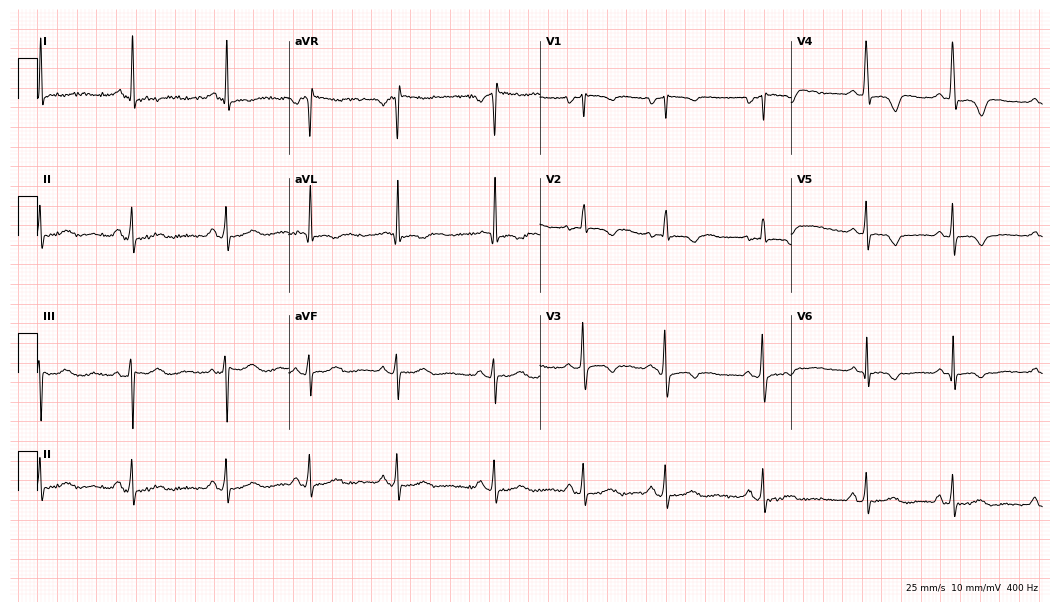
Electrocardiogram (10.2-second recording at 400 Hz), a female, 23 years old. Of the six screened findings (first-degree AV block, right bundle branch block, left bundle branch block, sinus bradycardia, atrial fibrillation, sinus tachycardia), none is recorded. Findings outside these six are not listed.